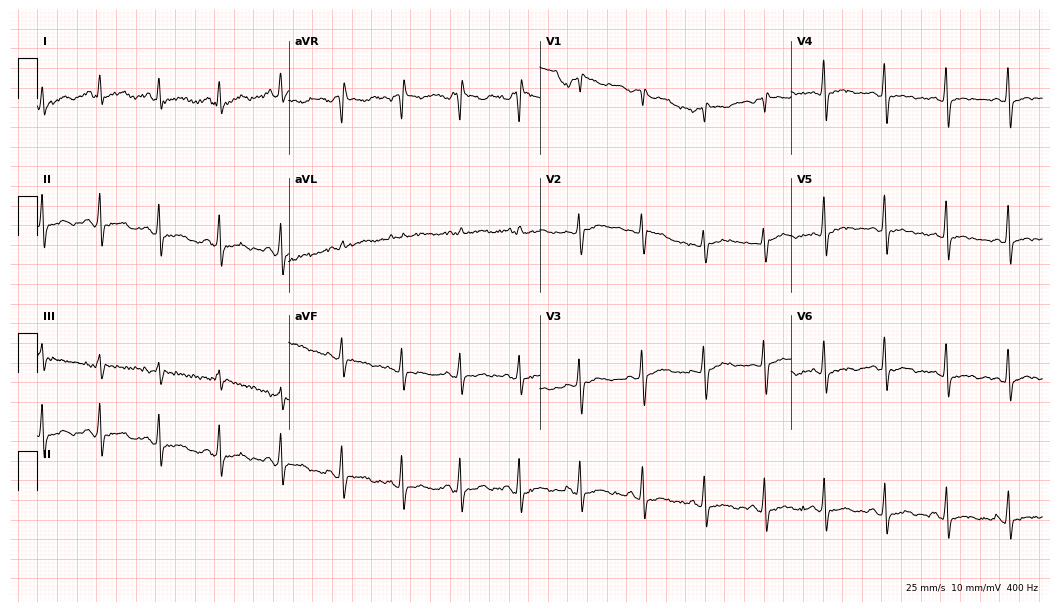
Standard 12-lead ECG recorded from a 31-year-old woman. Read as a normal ECG.